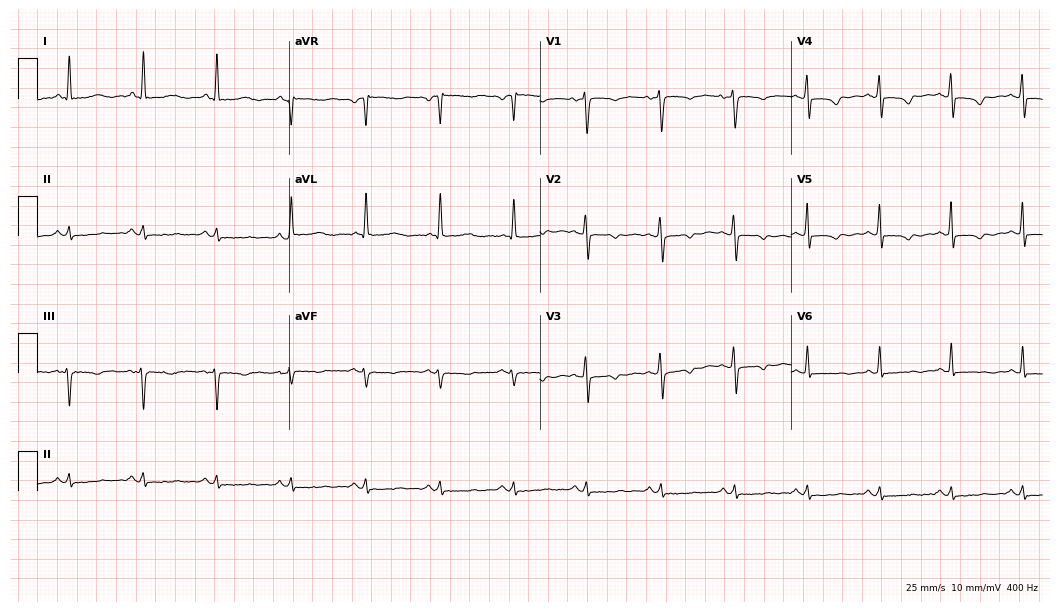
Electrocardiogram, a 64-year-old woman. Of the six screened findings (first-degree AV block, right bundle branch block, left bundle branch block, sinus bradycardia, atrial fibrillation, sinus tachycardia), none is recorded.